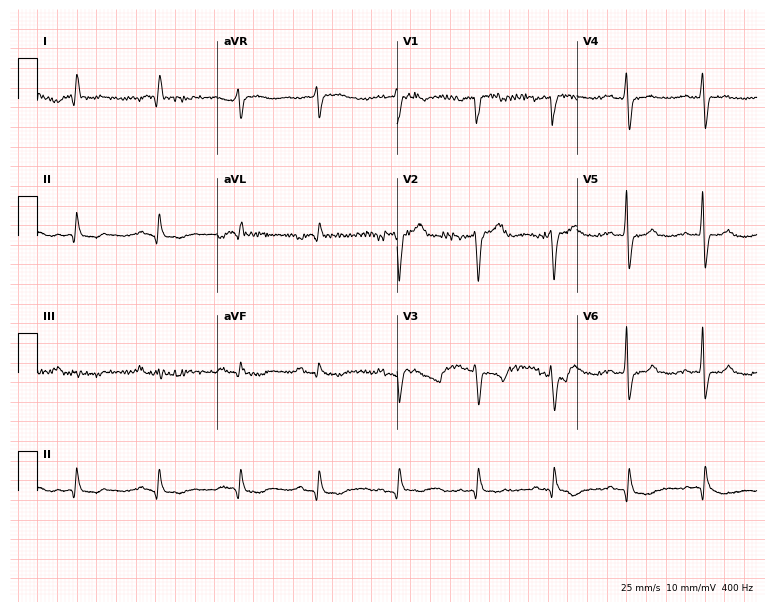
12-lead ECG (7.3-second recording at 400 Hz) from a female patient, 56 years old. Screened for six findings — first-degree AV block, right bundle branch block, left bundle branch block, sinus bradycardia, atrial fibrillation, sinus tachycardia — none is recorded.